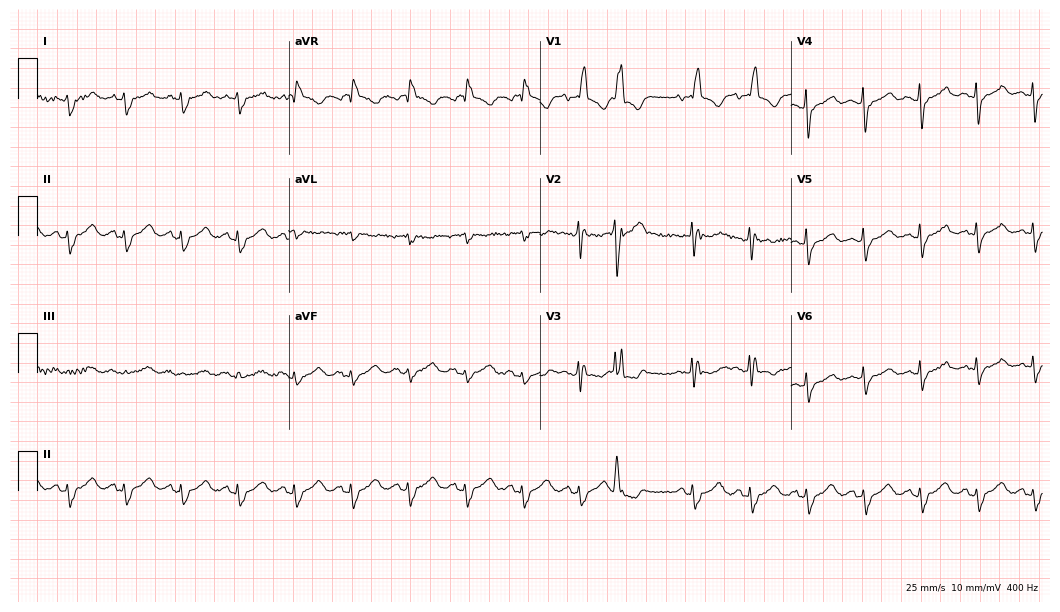
ECG — a 64-year-old woman. Findings include right bundle branch block, sinus tachycardia (a sinus rate of 100 beats per minute or more).